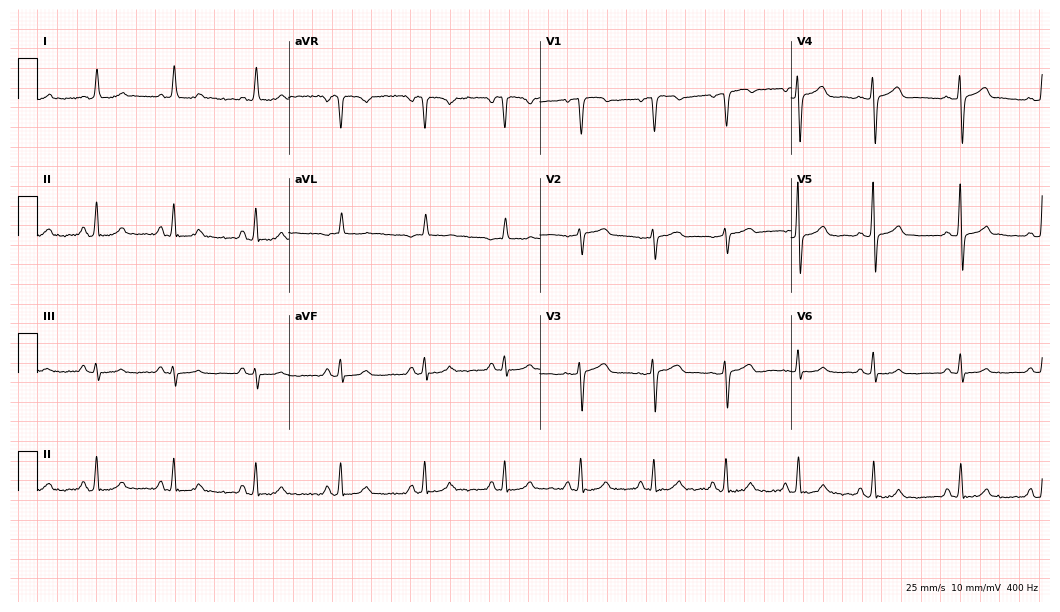
12-lead ECG (10.2-second recording at 400 Hz) from a woman, 49 years old. Labelled as a normal ECG.